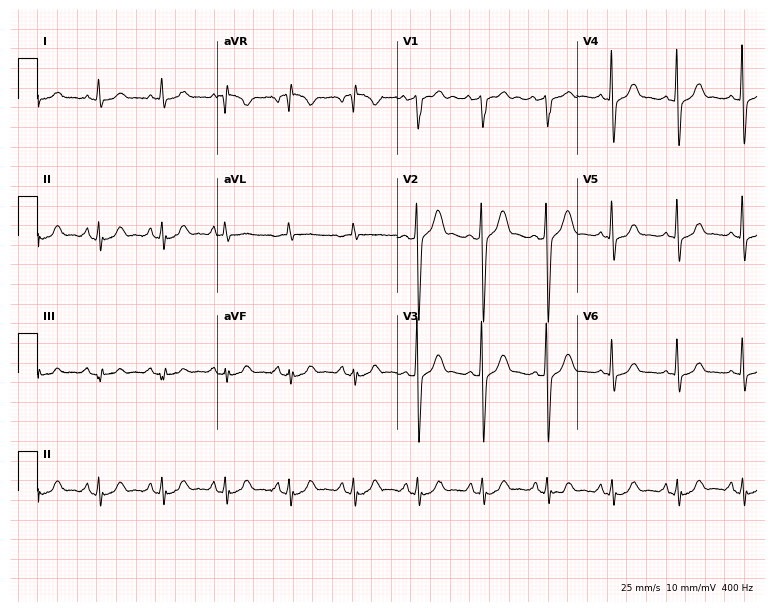
12-lead ECG from a man, 69 years old. Screened for six findings — first-degree AV block, right bundle branch block, left bundle branch block, sinus bradycardia, atrial fibrillation, sinus tachycardia — none is recorded. Findings outside these six are not listed.